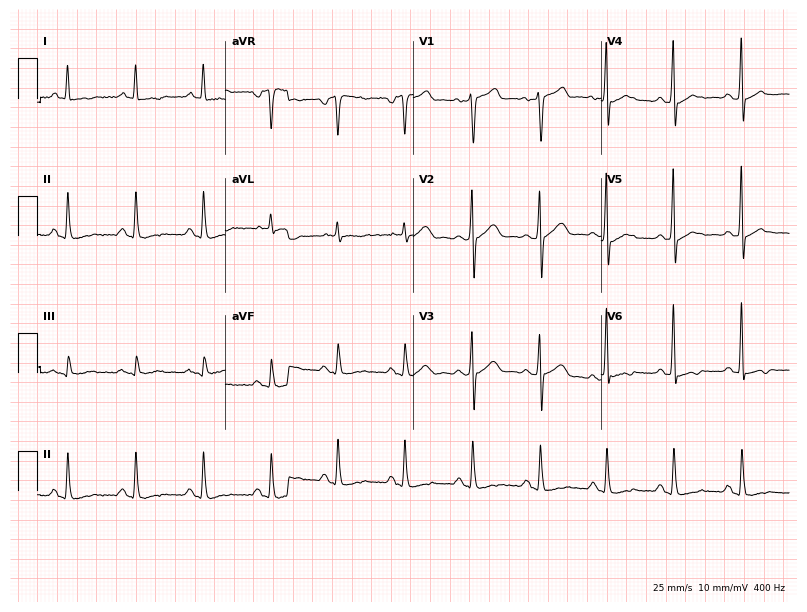
ECG — a 73-year-old female. Screened for six findings — first-degree AV block, right bundle branch block (RBBB), left bundle branch block (LBBB), sinus bradycardia, atrial fibrillation (AF), sinus tachycardia — none is recorded.